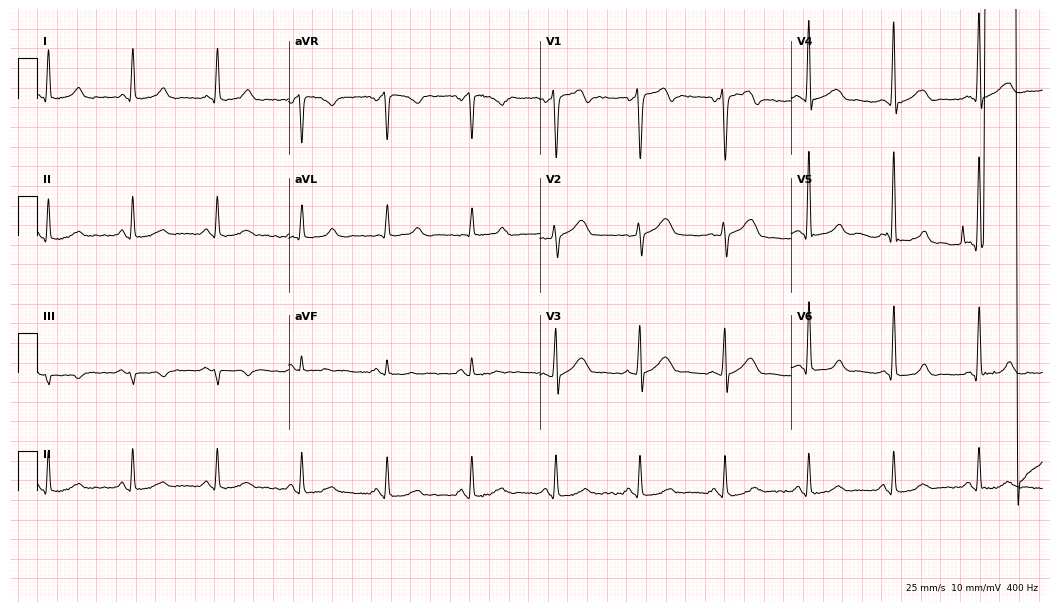
12-lead ECG from a 44-year-old male. Labelled as a normal ECG.